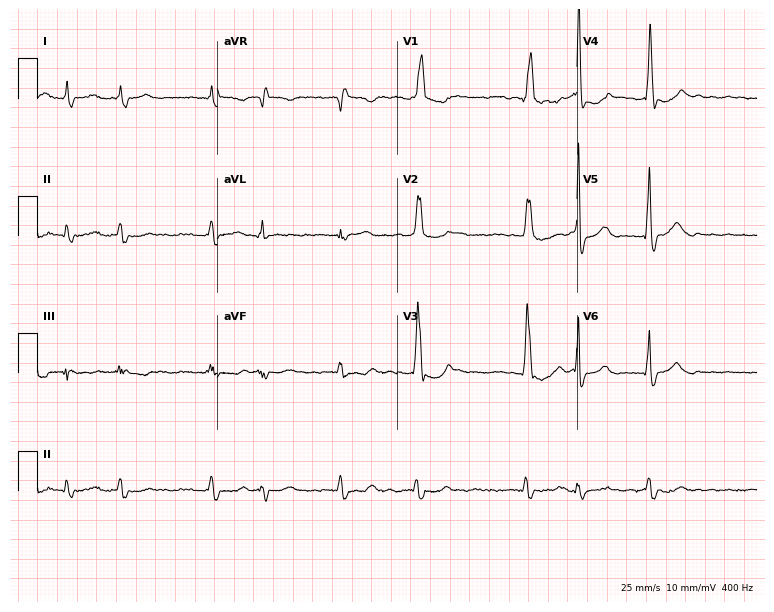
12-lead ECG from a 65-year-old male patient (7.3-second recording at 400 Hz). Shows right bundle branch block, atrial fibrillation.